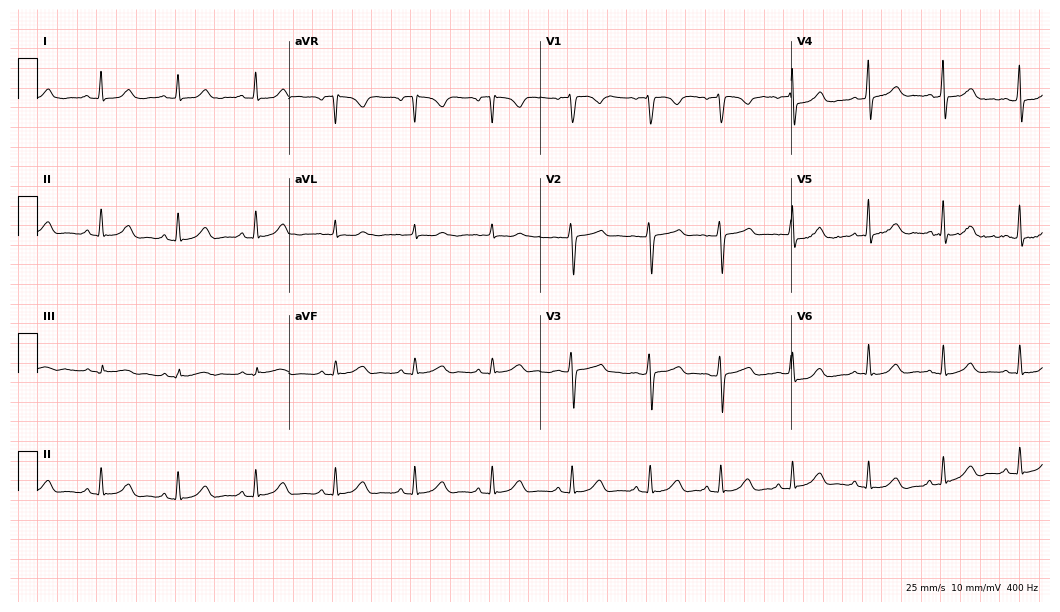
Standard 12-lead ECG recorded from a female, 29 years old (10.2-second recording at 400 Hz). Read as a normal ECG.